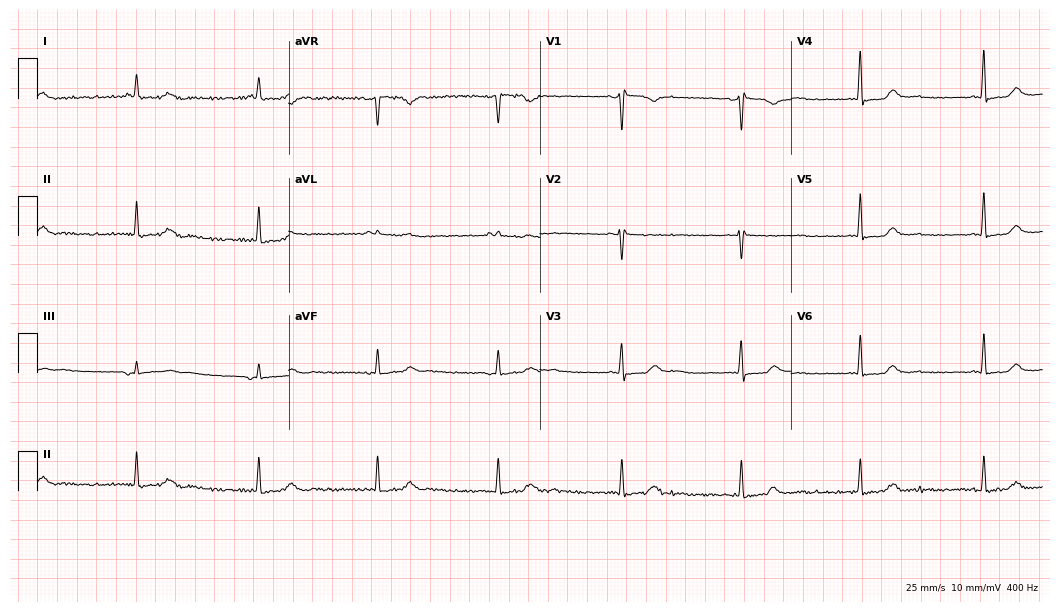
Electrocardiogram, a woman, 48 years old. Of the six screened findings (first-degree AV block, right bundle branch block (RBBB), left bundle branch block (LBBB), sinus bradycardia, atrial fibrillation (AF), sinus tachycardia), none is recorded.